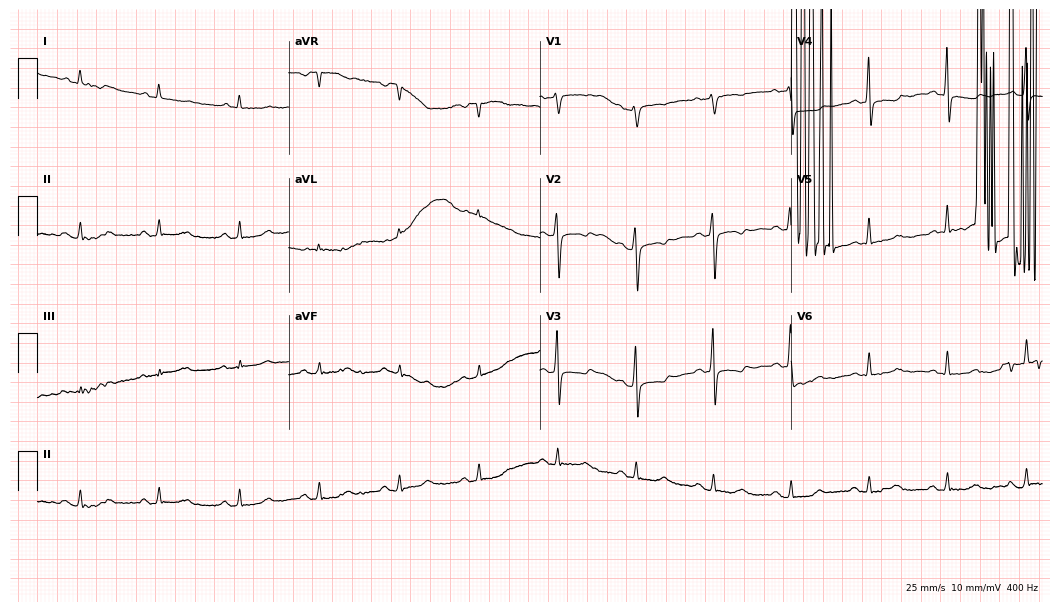
Standard 12-lead ECG recorded from a 77-year-old female patient (10.2-second recording at 400 Hz). None of these six findings is recorded: first-degree AV block, right bundle branch block, left bundle branch block, sinus bradycardia, atrial fibrillation, sinus tachycardia.